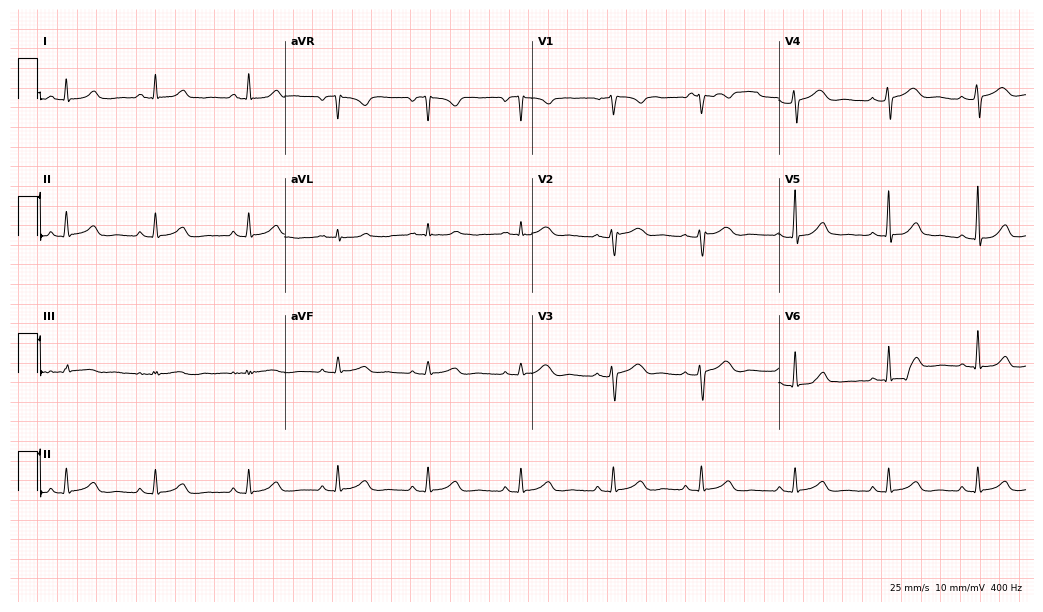
12-lead ECG (10.1-second recording at 400 Hz) from a woman, 28 years old. Labelled as a normal ECG.